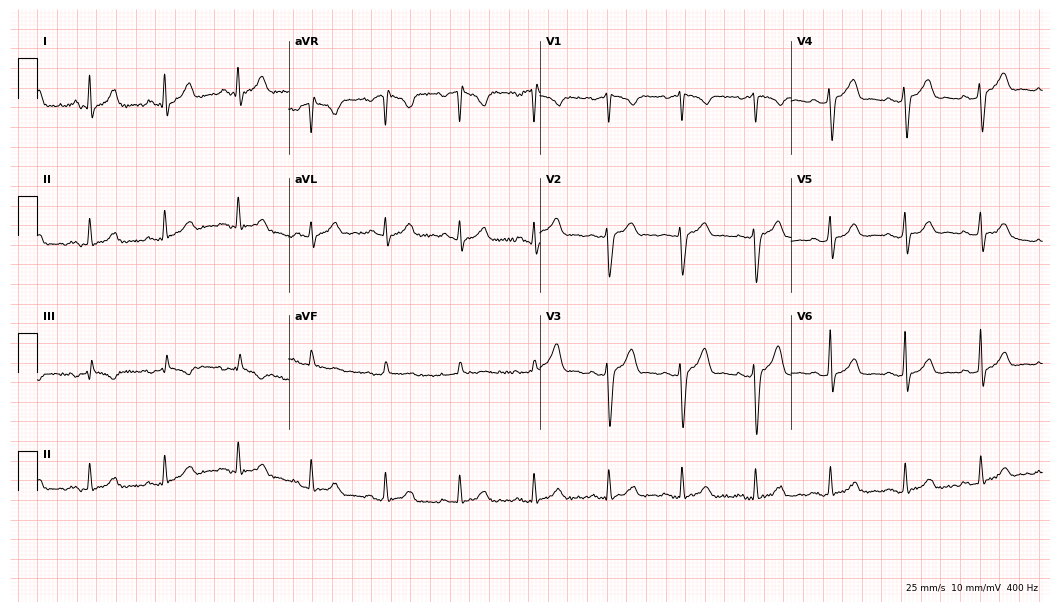
ECG (10.2-second recording at 400 Hz) — a male patient, 38 years old. Screened for six findings — first-degree AV block, right bundle branch block, left bundle branch block, sinus bradycardia, atrial fibrillation, sinus tachycardia — none is recorded. Findings outside these six are not listed.